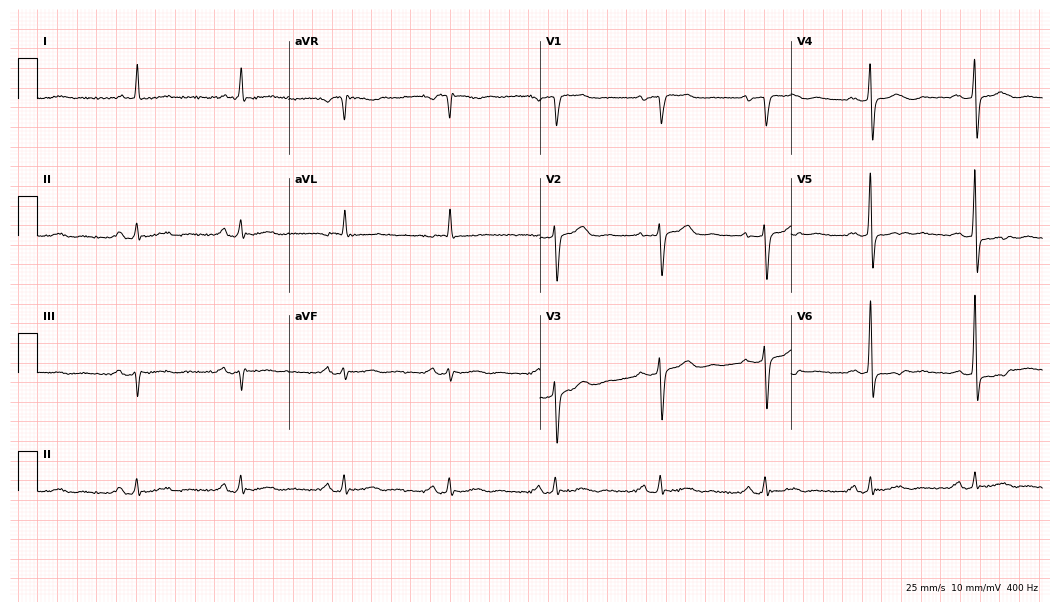
Resting 12-lead electrocardiogram (10.2-second recording at 400 Hz). Patient: a 69-year-old male. None of these six findings is recorded: first-degree AV block, right bundle branch block, left bundle branch block, sinus bradycardia, atrial fibrillation, sinus tachycardia.